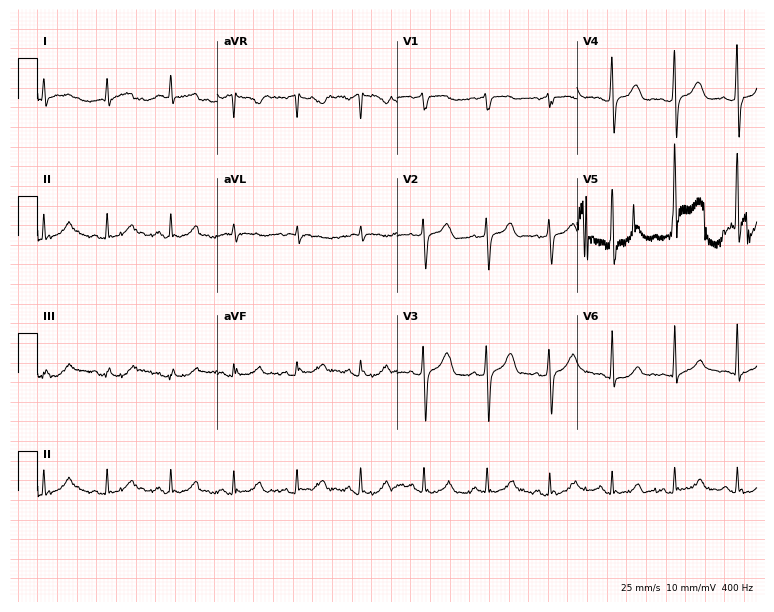
Electrocardiogram (7.3-second recording at 400 Hz), a 52-year-old male. Of the six screened findings (first-degree AV block, right bundle branch block, left bundle branch block, sinus bradycardia, atrial fibrillation, sinus tachycardia), none is recorded.